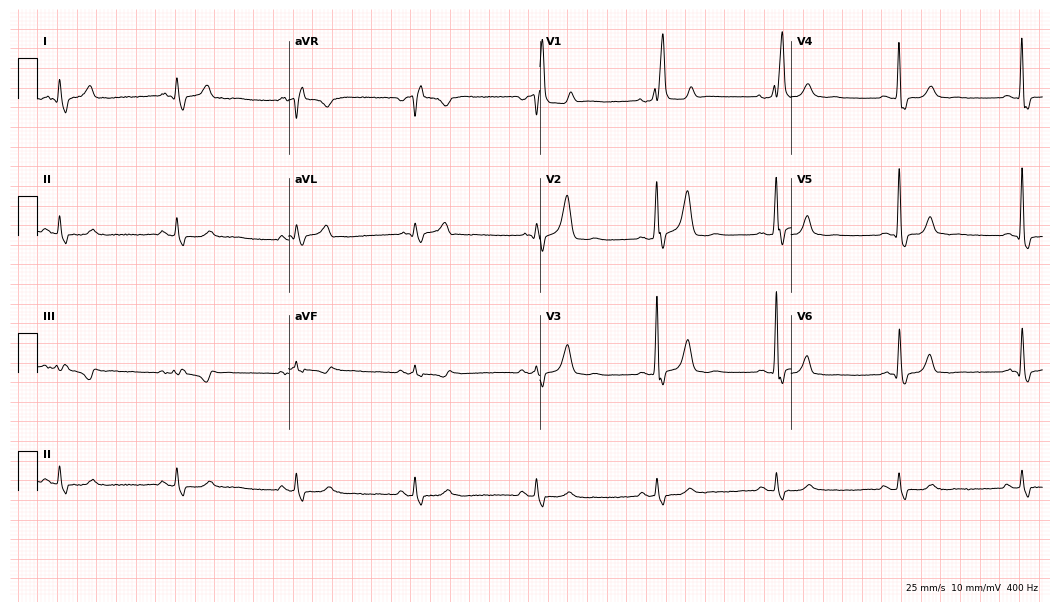
12-lead ECG from a 69-year-old male. Shows right bundle branch block (RBBB), sinus bradycardia (a sinus rate of 50 beats per minute or less).